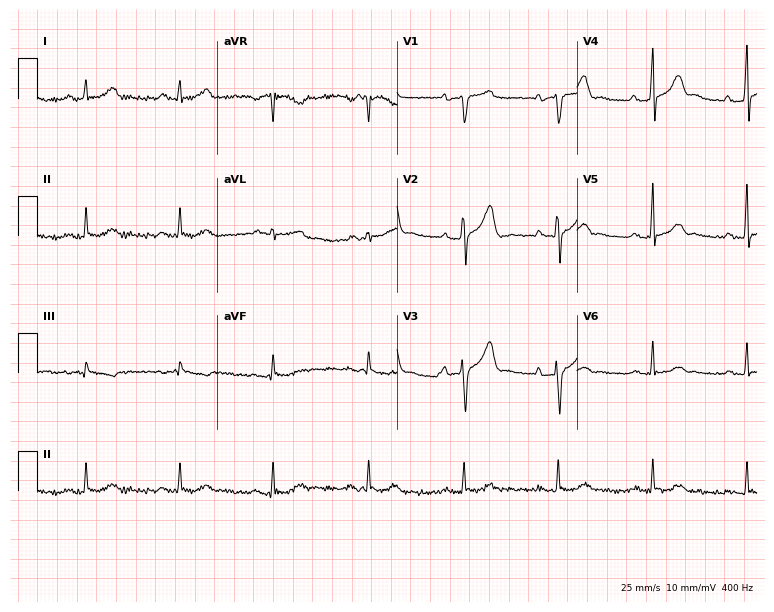
Standard 12-lead ECG recorded from a male, 56 years old. Read as a normal ECG.